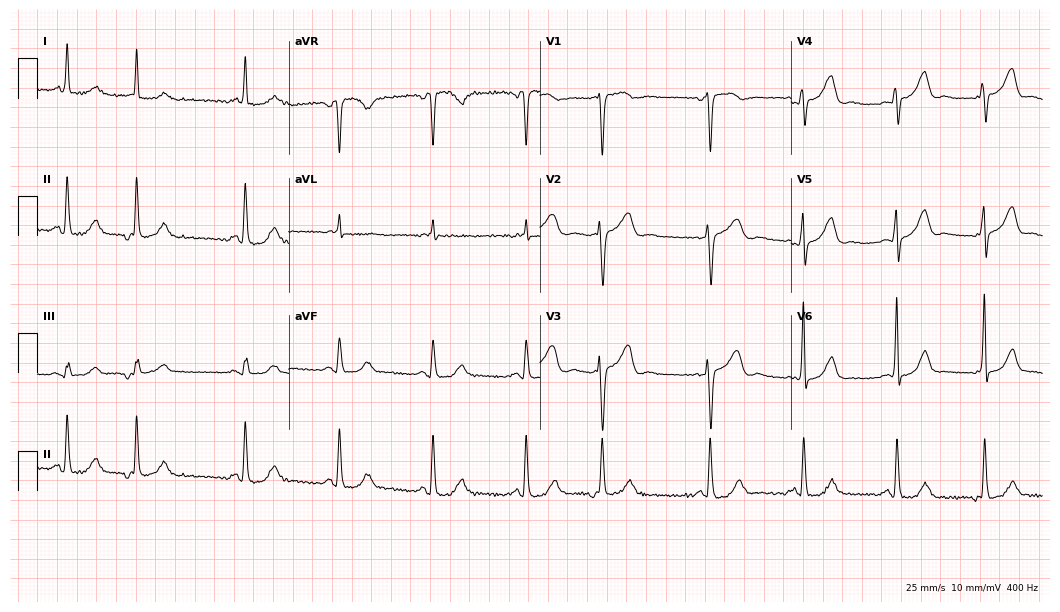
Standard 12-lead ECG recorded from a male patient, 79 years old. None of these six findings is recorded: first-degree AV block, right bundle branch block, left bundle branch block, sinus bradycardia, atrial fibrillation, sinus tachycardia. Findings outside these six are not listed.